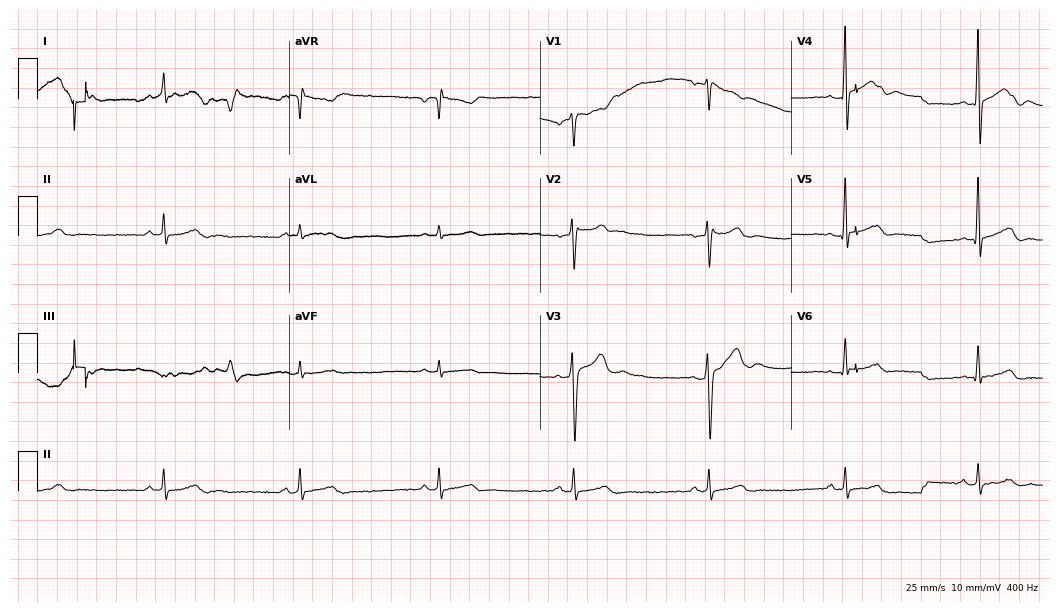
Resting 12-lead electrocardiogram. Patient: a 41-year-old male. None of these six findings is recorded: first-degree AV block, right bundle branch block, left bundle branch block, sinus bradycardia, atrial fibrillation, sinus tachycardia. Only these six findings were labelled.